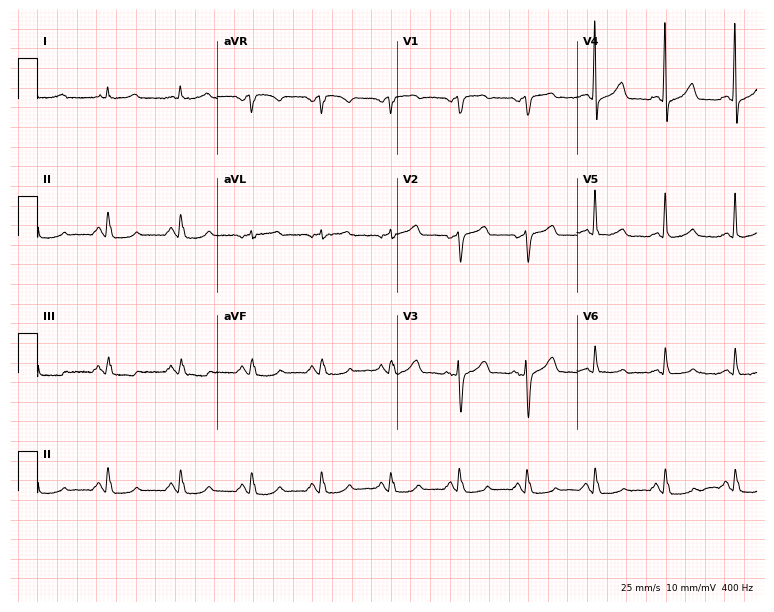
Electrocardiogram (7.3-second recording at 400 Hz), a male, 81 years old. Overall reading on record: normal ECG.